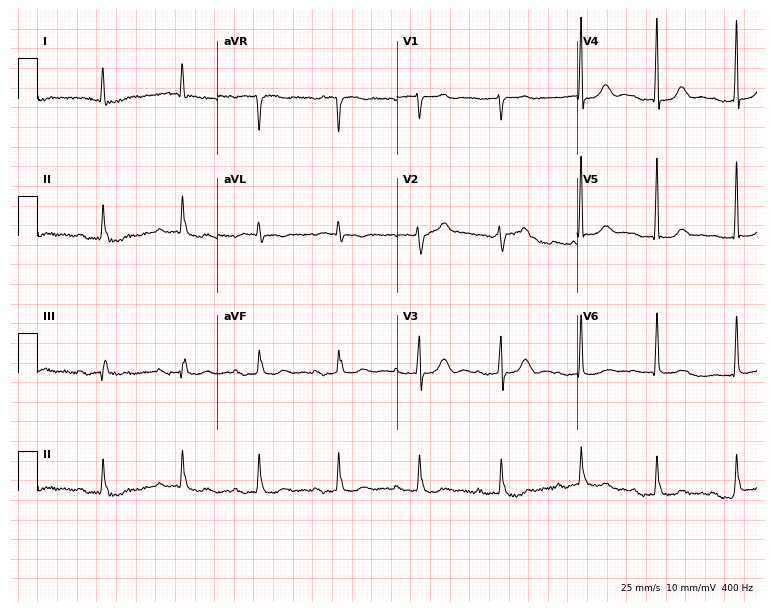
ECG — an 85-year-old female patient. Findings include first-degree AV block.